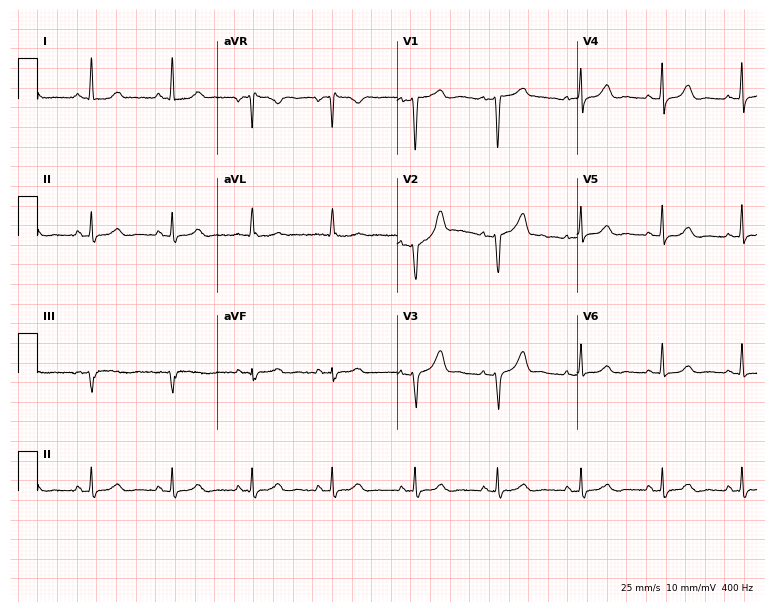
12-lead ECG from a female patient, 48 years old. No first-degree AV block, right bundle branch block (RBBB), left bundle branch block (LBBB), sinus bradycardia, atrial fibrillation (AF) or sinus tachycardia recorded for this tracing. Other findings, if any, are not listed.